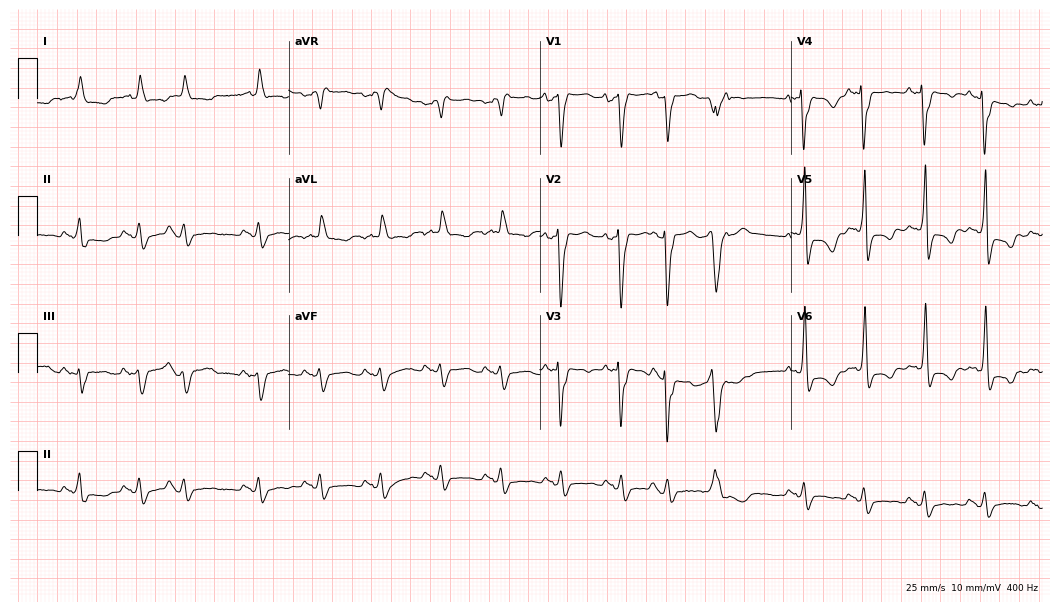
Electrocardiogram (10.2-second recording at 400 Hz), a female patient, 85 years old. Of the six screened findings (first-degree AV block, right bundle branch block (RBBB), left bundle branch block (LBBB), sinus bradycardia, atrial fibrillation (AF), sinus tachycardia), none is recorded.